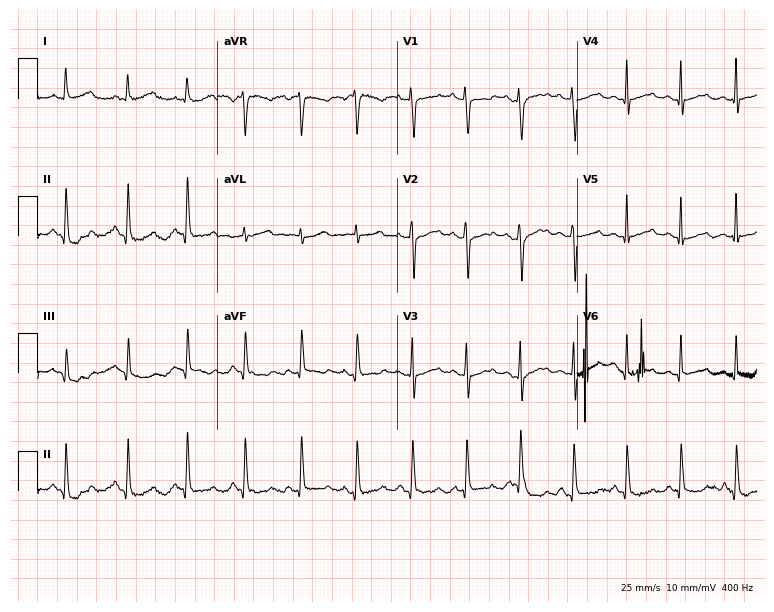
Standard 12-lead ECG recorded from a female, 28 years old. The tracing shows sinus tachycardia (a sinus rate of 100 beats per minute or more).